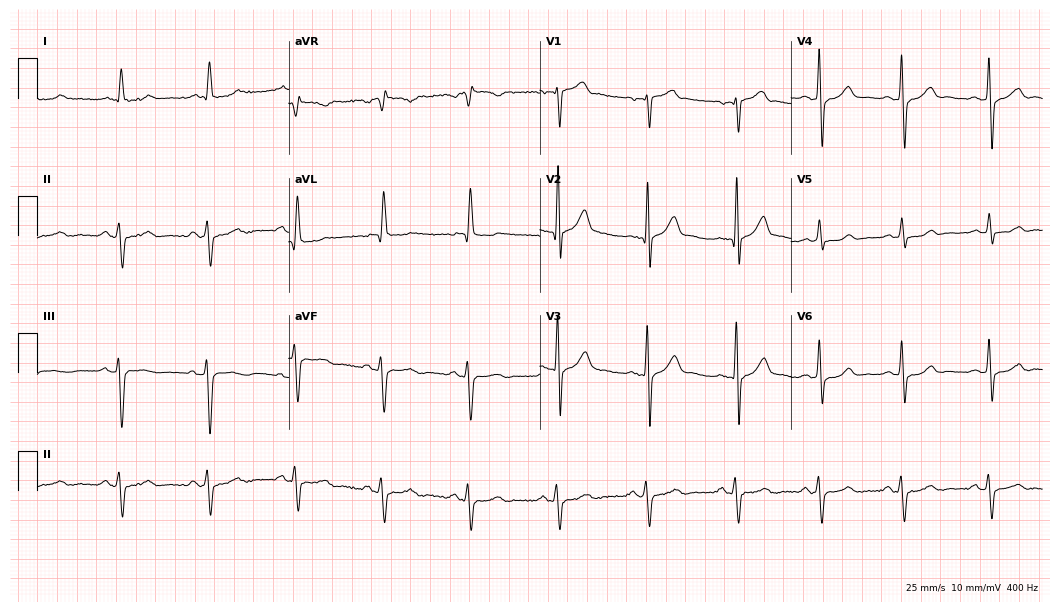
Resting 12-lead electrocardiogram. Patient: a 69-year-old woman. None of these six findings is recorded: first-degree AV block, right bundle branch block, left bundle branch block, sinus bradycardia, atrial fibrillation, sinus tachycardia.